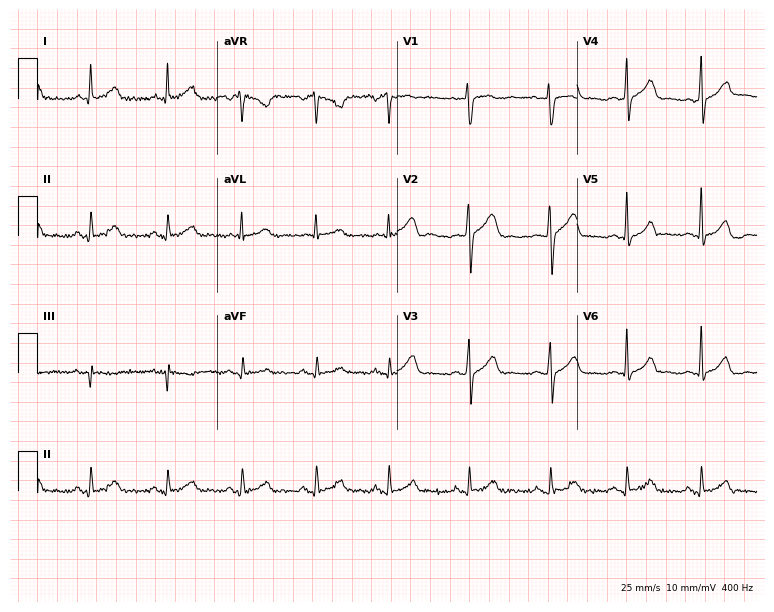
12-lead ECG (7.3-second recording at 400 Hz) from a male, 36 years old. Labelled as a normal ECG.